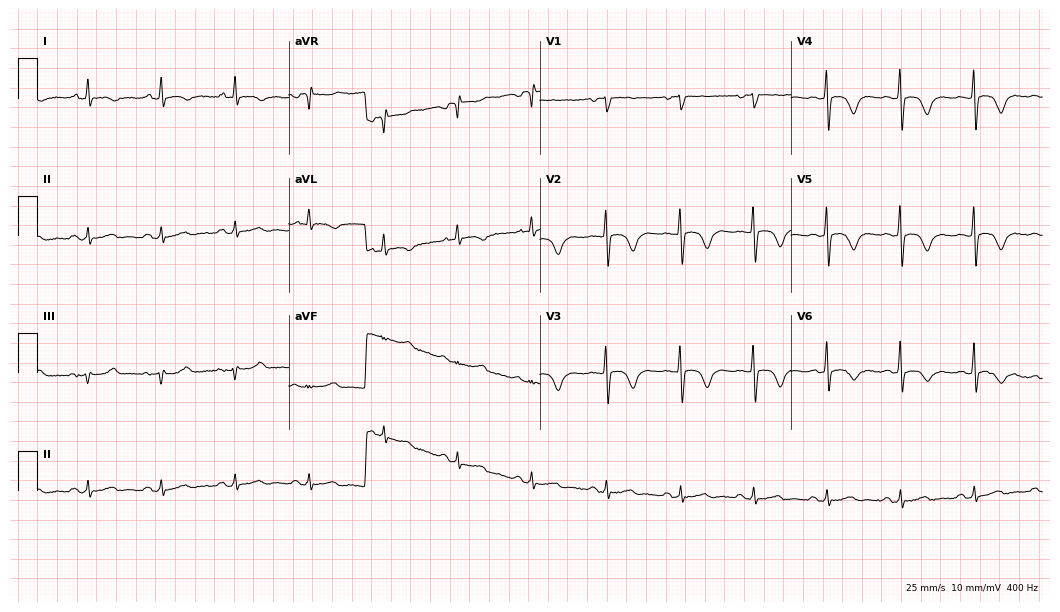
Standard 12-lead ECG recorded from an 83-year-old male (10.2-second recording at 400 Hz). None of these six findings is recorded: first-degree AV block, right bundle branch block, left bundle branch block, sinus bradycardia, atrial fibrillation, sinus tachycardia.